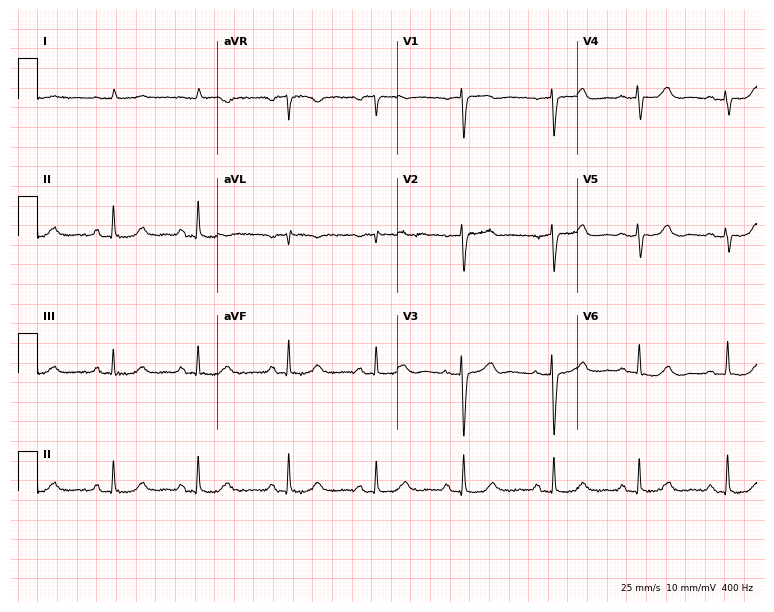
Standard 12-lead ECG recorded from a male, 78 years old. Read as a normal ECG.